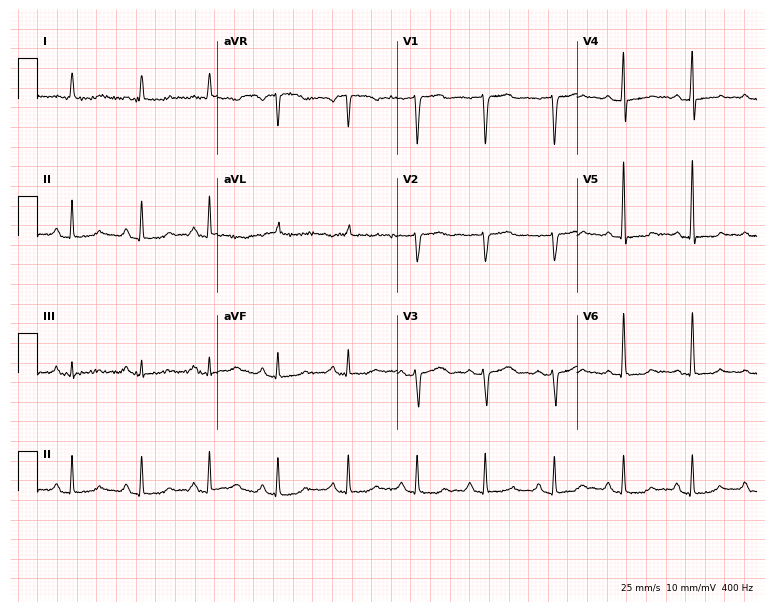
ECG — a 78-year-old male. Screened for six findings — first-degree AV block, right bundle branch block, left bundle branch block, sinus bradycardia, atrial fibrillation, sinus tachycardia — none is recorded. Findings outside these six are not listed.